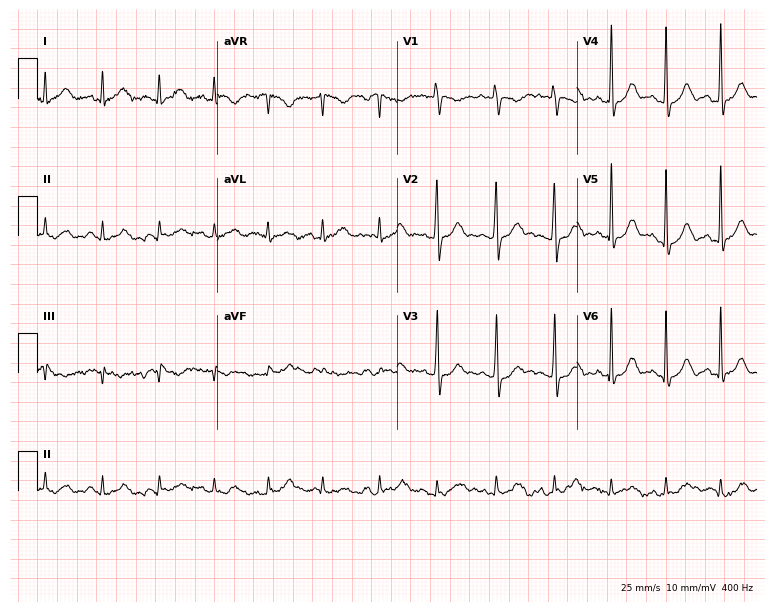
ECG — an 18-year-old female patient. Labelled as a normal ECG.